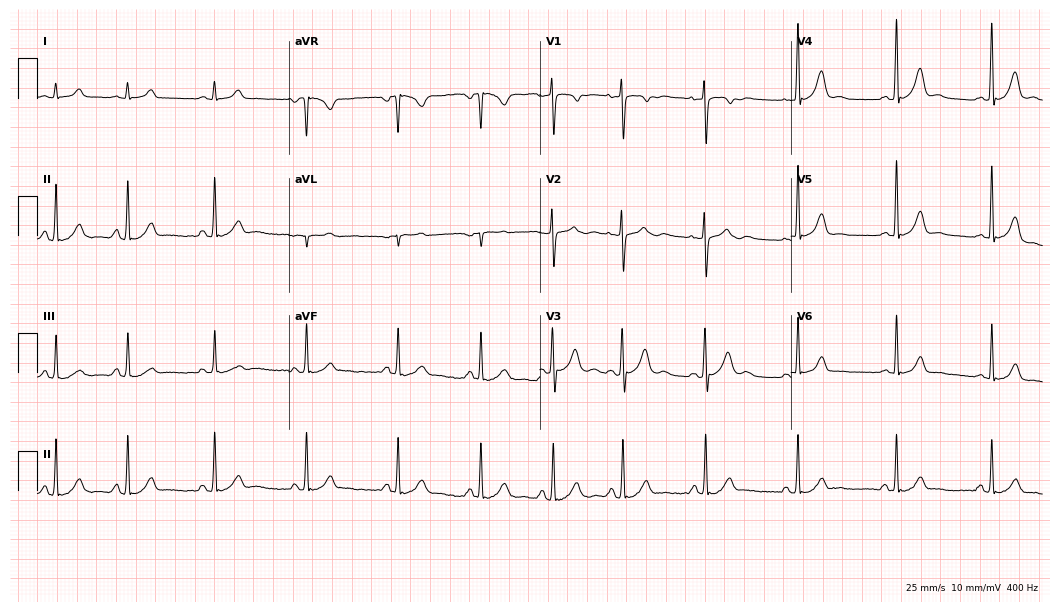
12-lead ECG from a 24-year-old female (10.2-second recording at 400 Hz). Recorded interpretation: within normal limits.